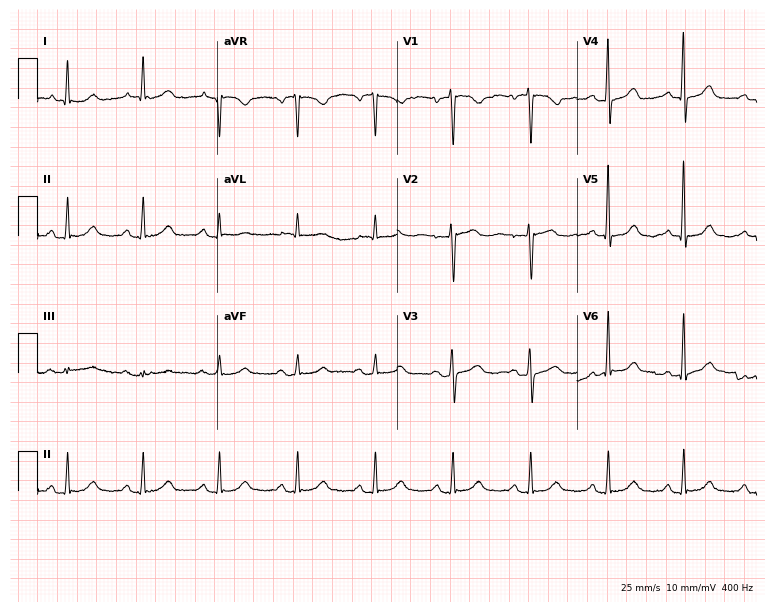
Resting 12-lead electrocardiogram. Patient: a 66-year-old female. Read as a normal ECG.